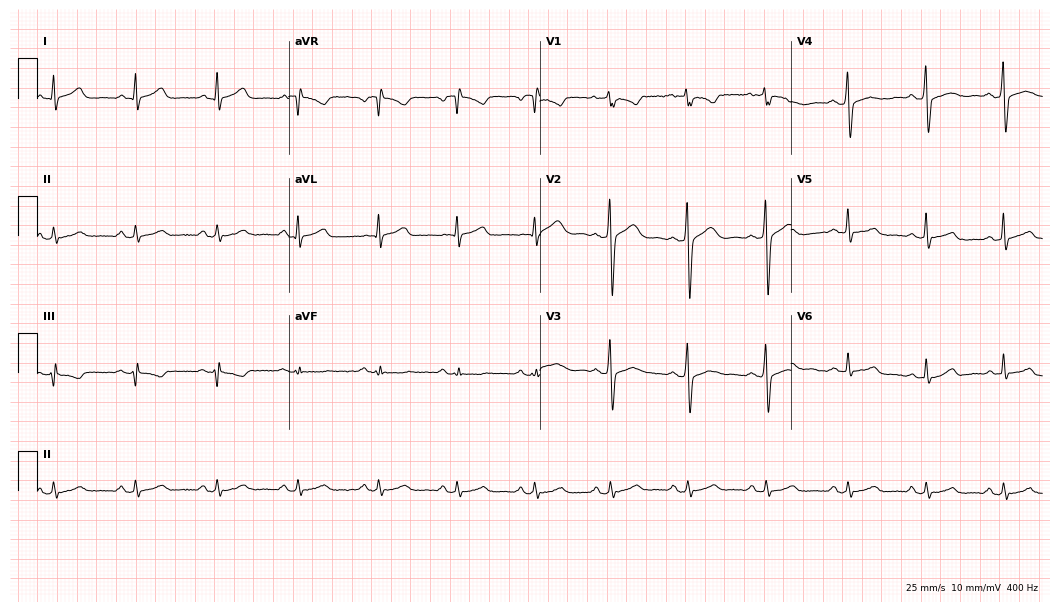
ECG (10.2-second recording at 400 Hz) — a 35-year-old male patient. Labelled as a normal ECG.